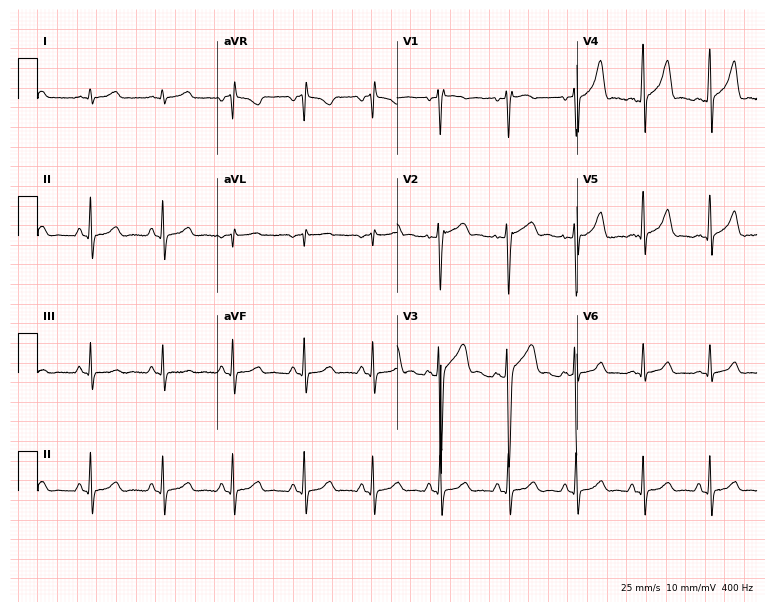
ECG — a 36-year-old man. Labelled as a normal ECG.